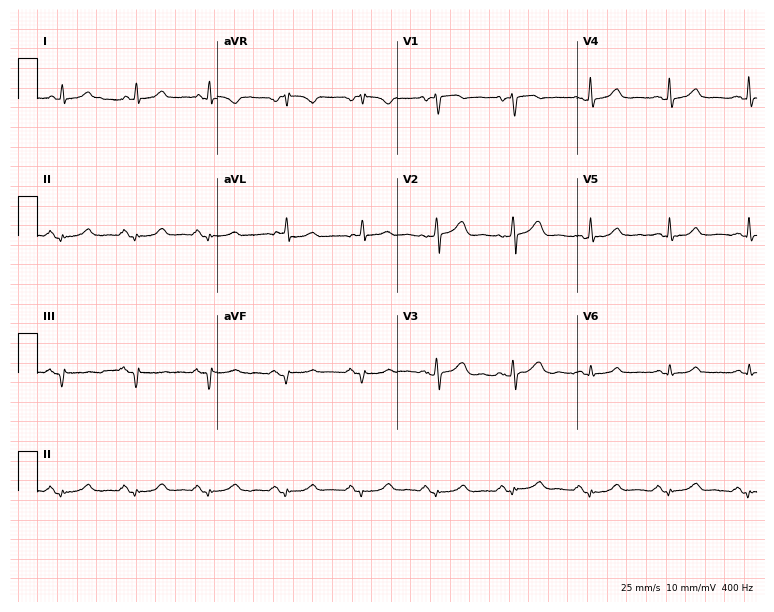
Resting 12-lead electrocardiogram (7.3-second recording at 400 Hz). Patient: a 54-year-old man. None of these six findings is recorded: first-degree AV block, right bundle branch block, left bundle branch block, sinus bradycardia, atrial fibrillation, sinus tachycardia. Only these six findings were labelled.